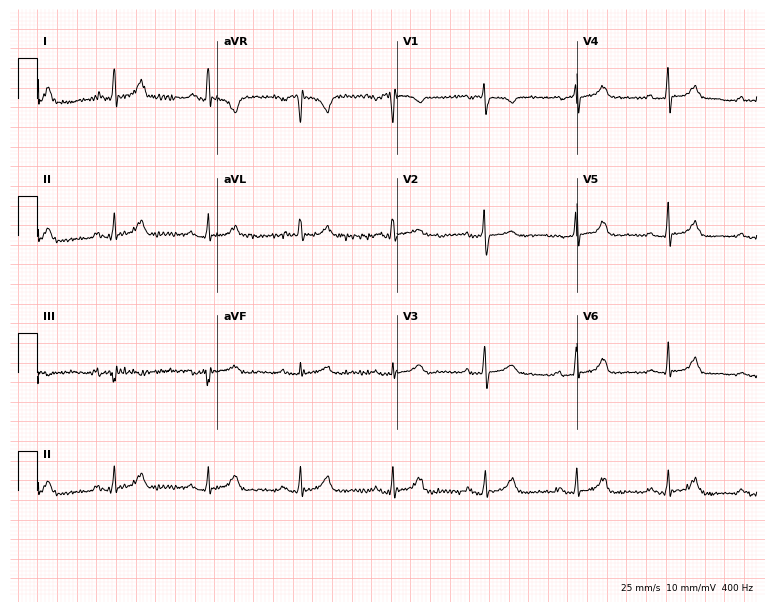
Standard 12-lead ECG recorded from a woman, 75 years old. Read as a normal ECG.